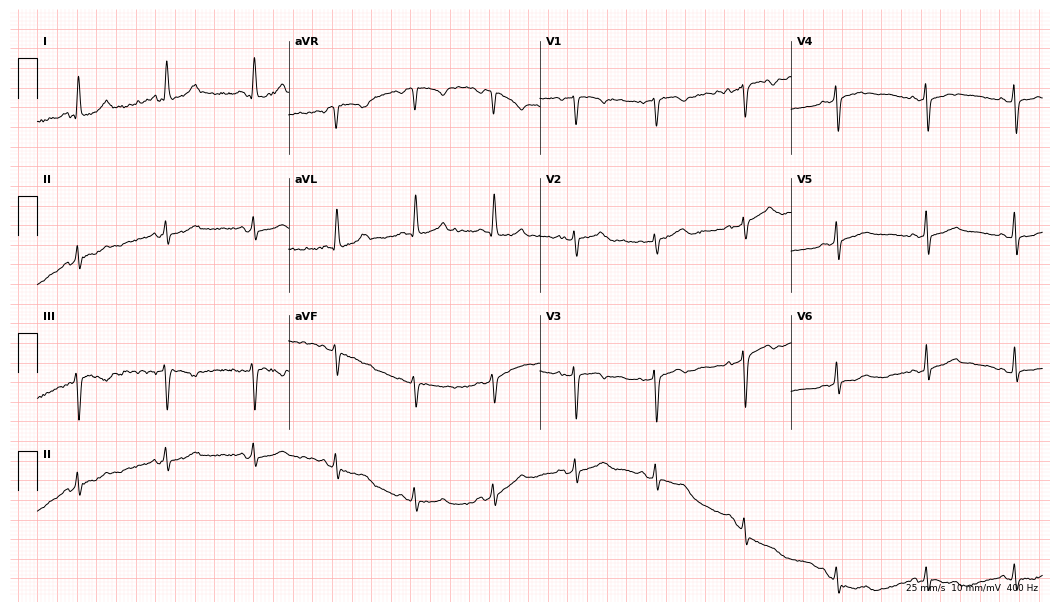
12-lead ECG (10.2-second recording at 400 Hz) from a 46-year-old female patient. Labelled as a normal ECG.